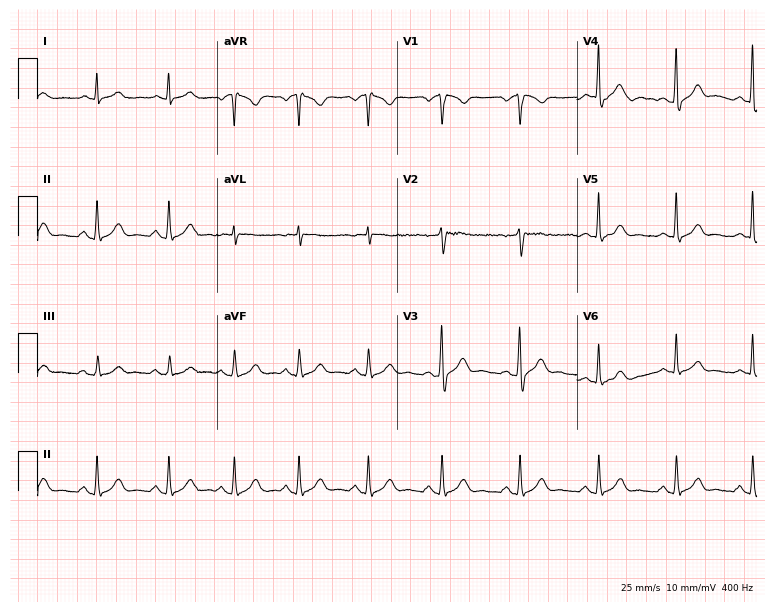
Resting 12-lead electrocardiogram (7.3-second recording at 400 Hz). Patient: a 41-year-old male. Read as a normal ECG.